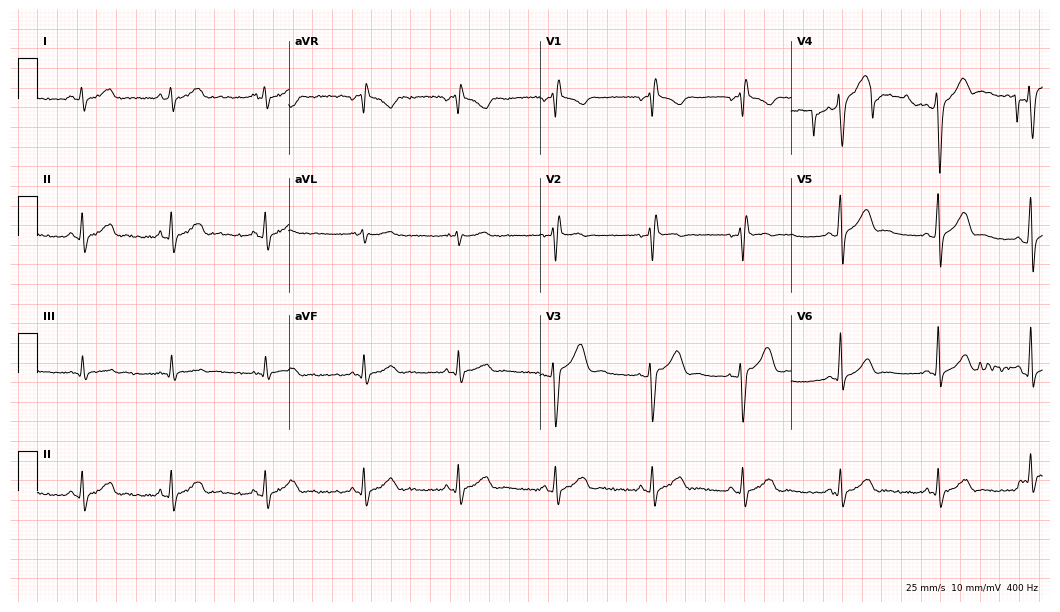
Electrocardiogram (10.2-second recording at 400 Hz), a 25-year-old man. Interpretation includes atrial fibrillation (AF).